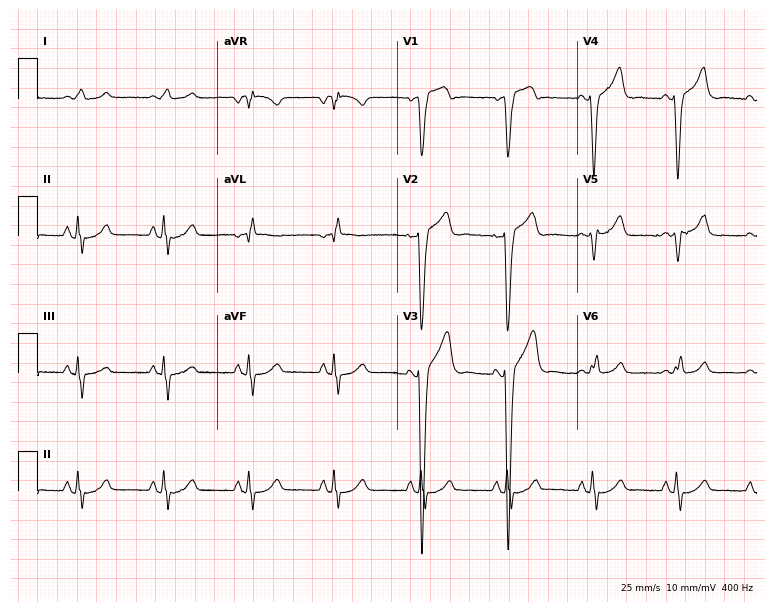
ECG (7.3-second recording at 400 Hz) — a 64-year-old male. Findings include left bundle branch block (LBBB).